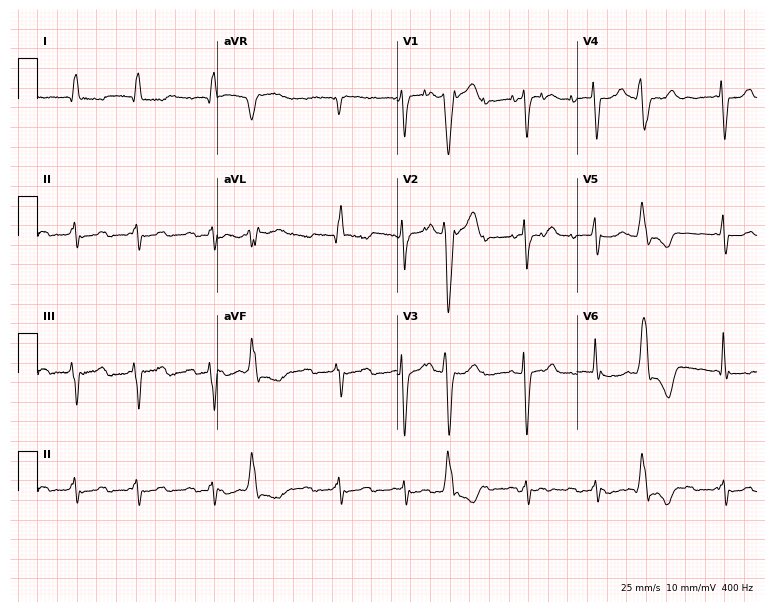
Standard 12-lead ECG recorded from a woman, 75 years old. None of these six findings is recorded: first-degree AV block, right bundle branch block (RBBB), left bundle branch block (LBBB), sinus bradycardia, atrial fibrillation (AF), sinus tachycardia.